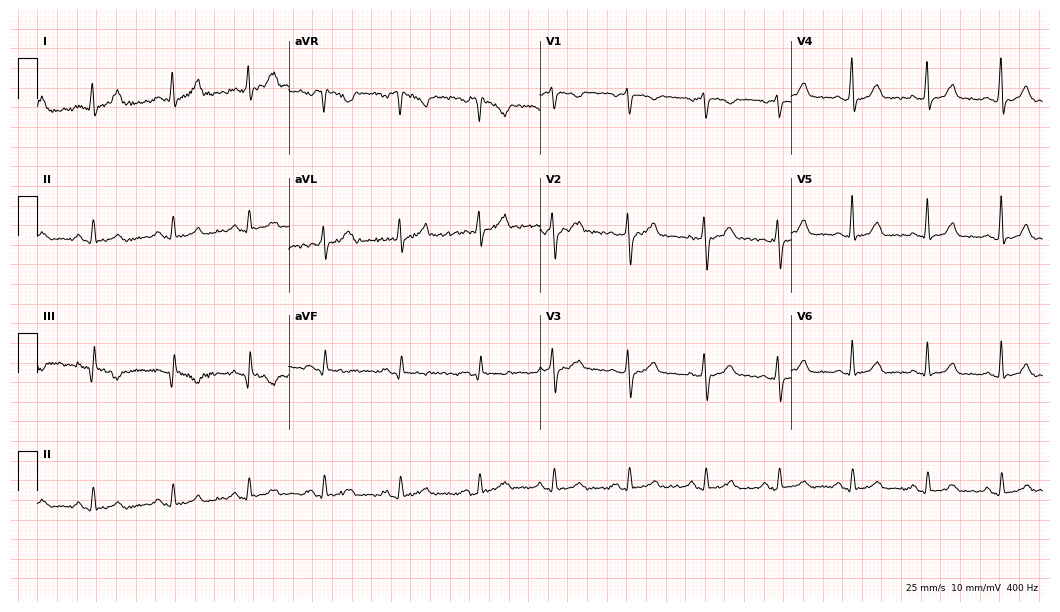
Electrocardiogram, a 40-year-old woman. Of the six screened findings (first-degree AV block, right bundle branch block (RBBB), left bundle branch block (LBBB), sinus bradycardia, atrial fibrillation (AF), sinus tachycardia), none is recorded. Findings outside these six are not listed.